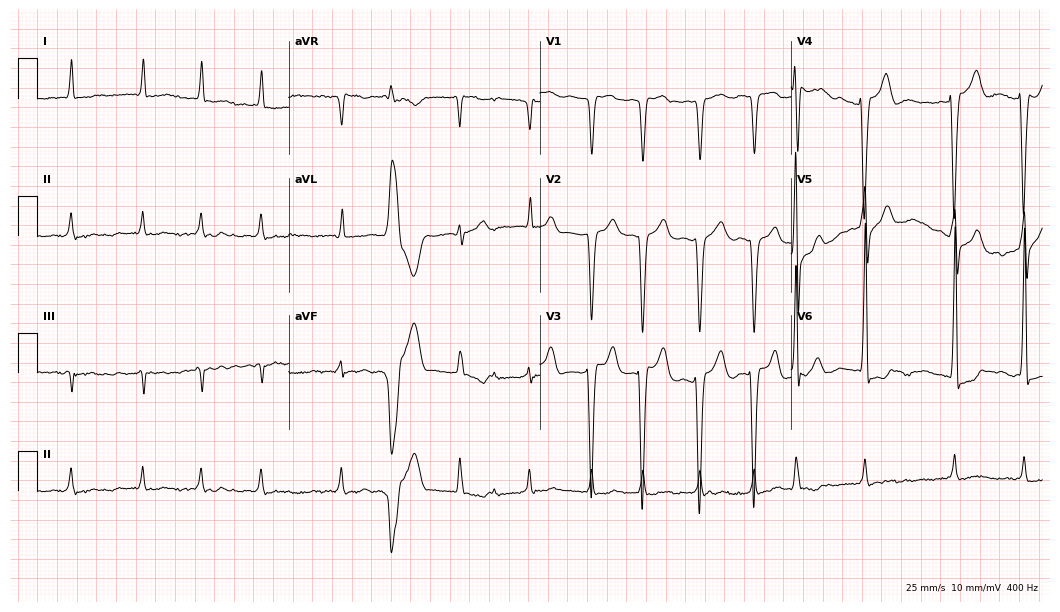
Electrocardiogram (10.2-second recording at 400 Hz), a man, 80 years old. Interpretation includes atrial fibrillation.